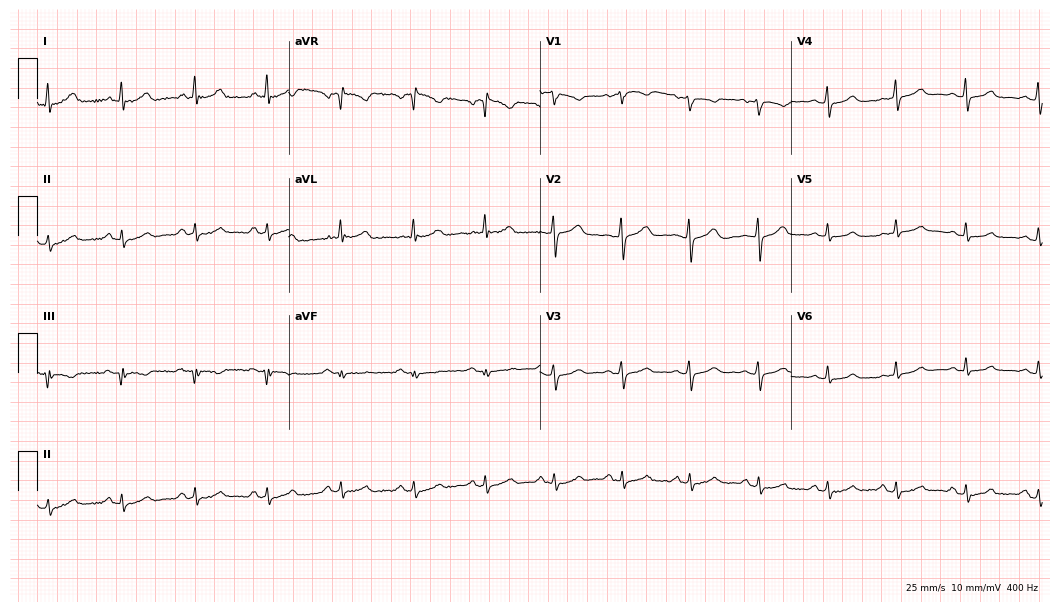
12-lead ECG from a 42-year-old woman (10.2-second recording at 400 Hz). Recorded interpretation: within normal limits.